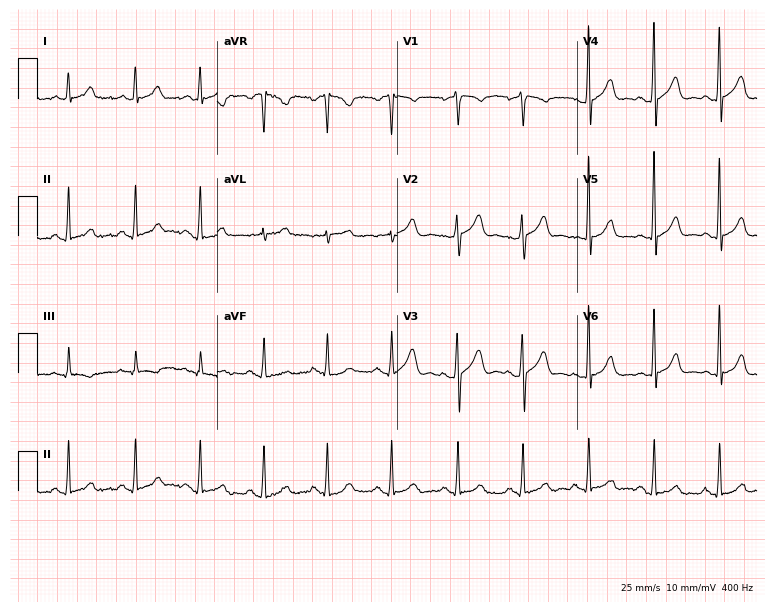
Standard 12-lead ECG recorded from a male patient, 40 years old (7.3-second recording at 400 Hz). Read as a normal ECG.